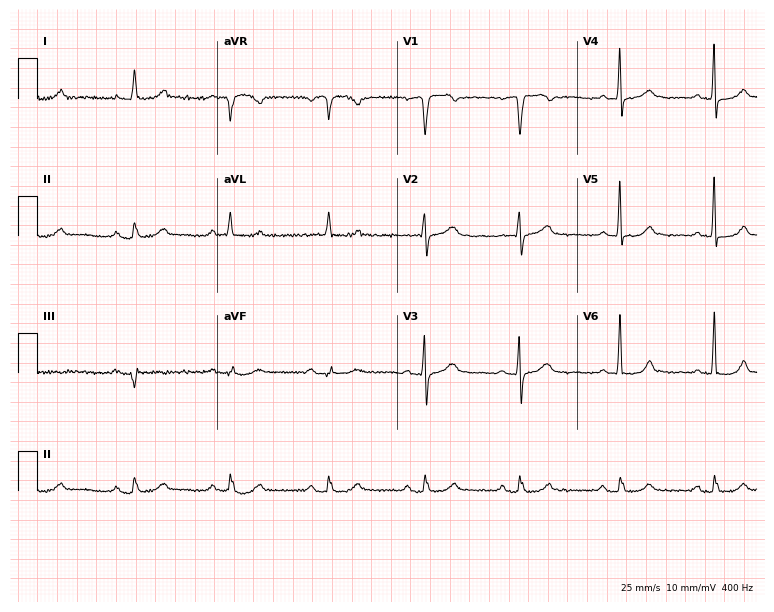
Resting 12-lead electrocardiogram (7.3-second recording at 400 Hz). Patient: a male, 85 years old. Read as a normal ECG.